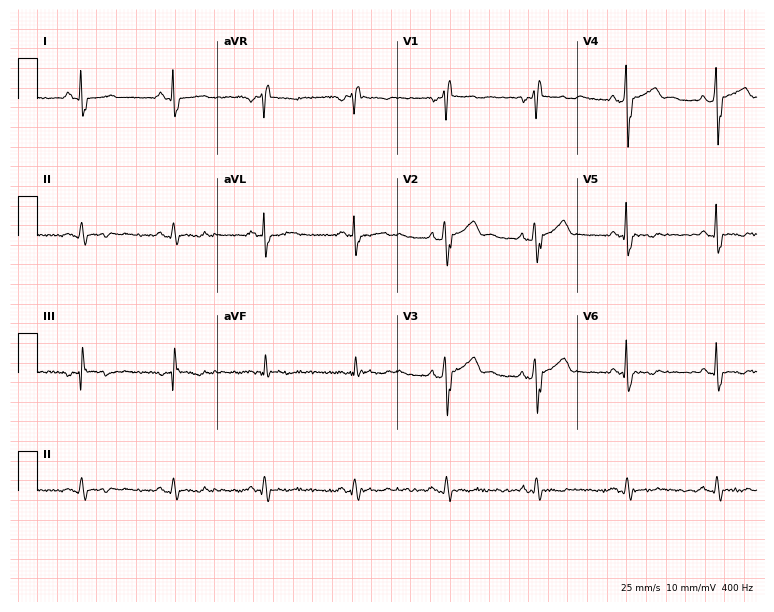
ECG — a 45-year-old male. Screened for six findings — first-degree AV block, right bundle branch block, left bundle branch block, sinus bradycardia, atrial fibrillation, sinus tachycardia — none is recorded. Findings outside these six are not listed.